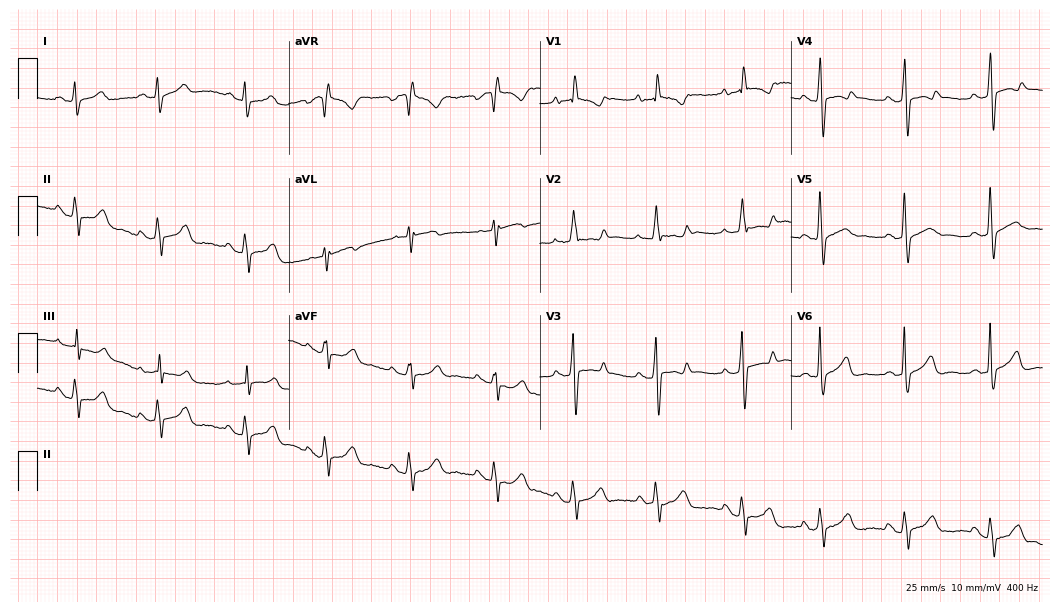
Resting 12-lead electrocardiogram (10.2-second recording at 400 Hz). Patient: a 26-year-old female. None of these six findings is recorded: first-degree AV block, right bundle branch block (RBBB), left bundle branch block (LBBB), sinus bradycardia, atrial fibrillation (AF), sinus tachycardia. Only these six findings were labelled.